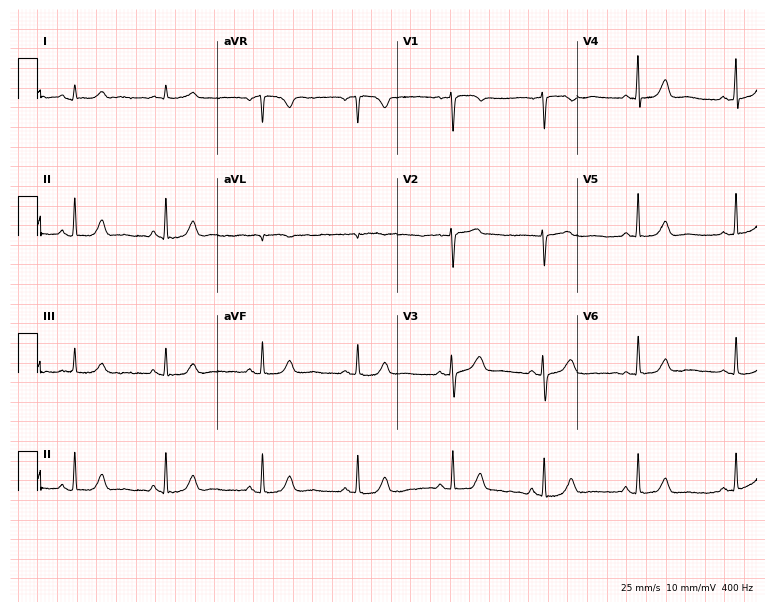
Resting 12-lead electrocardiogram. Patient: a 44-year-old woman. Read as a normal ECG.